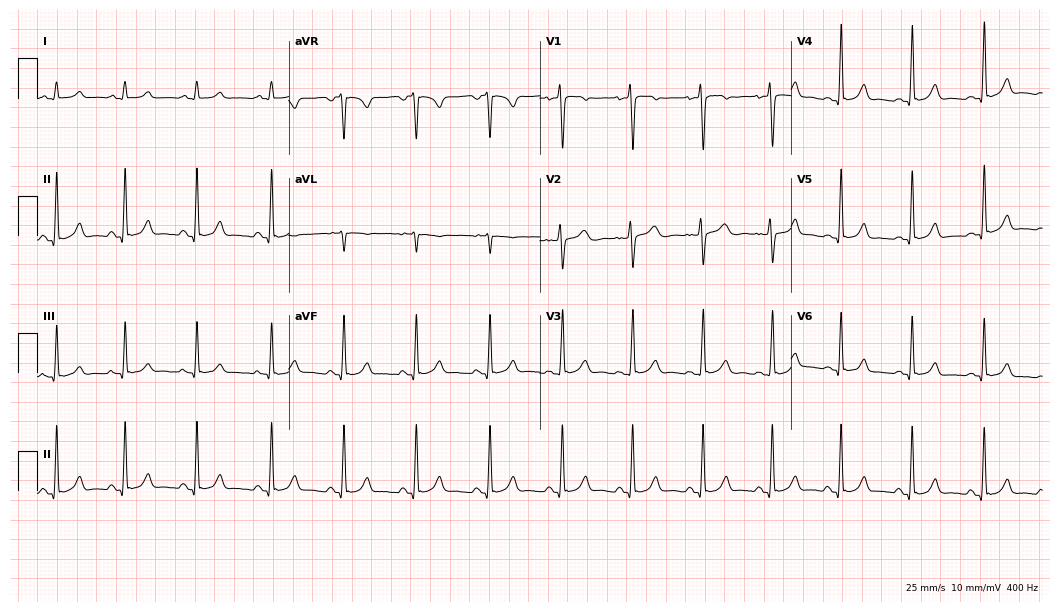
12-lead ECG from a female patient, 18 years old. Recorded interpretation: within normal limits.